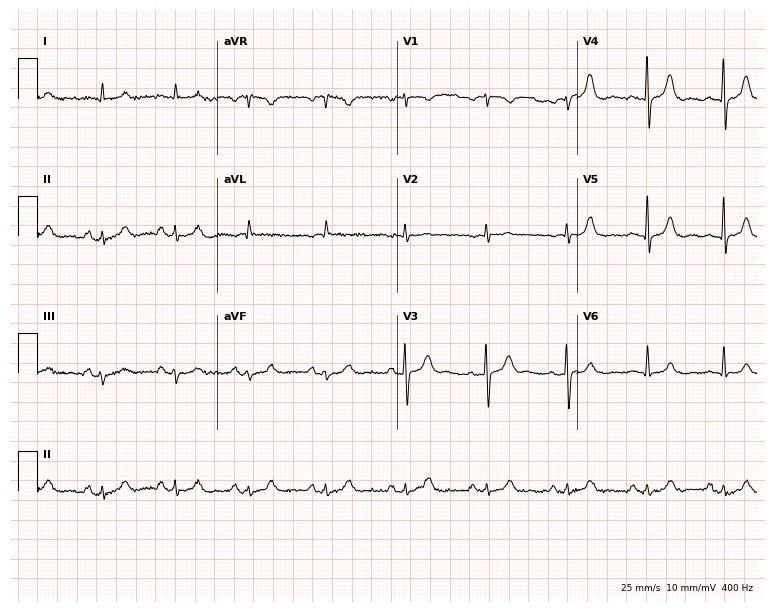
12-lead ECG from a 56-year-old man (7.3-second recording at 400 Hz). Recorded interpretation: within normal limits.